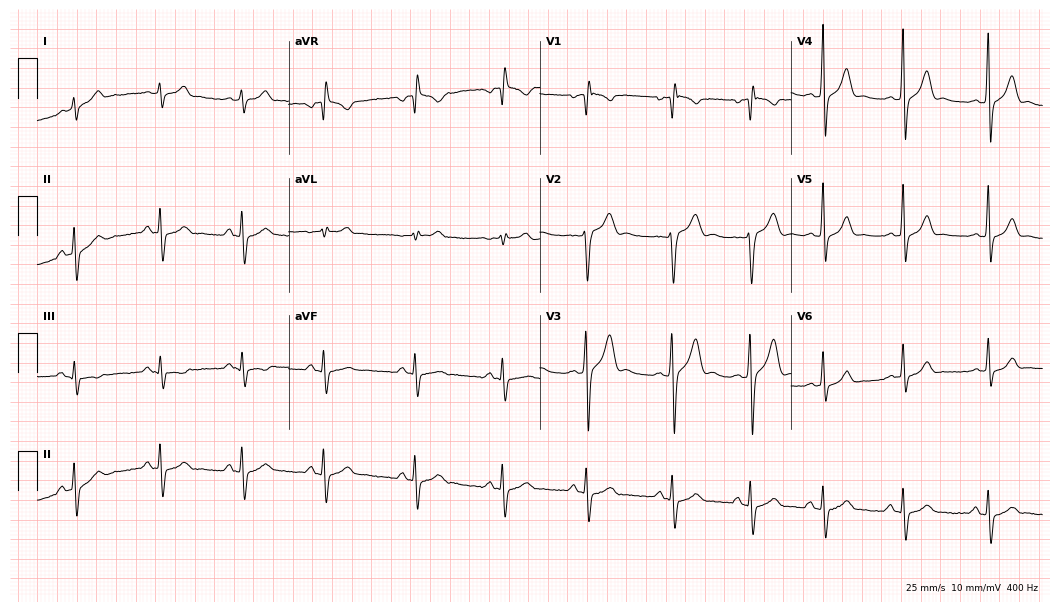
Resting 12-lead electrocardiogram (10.2-second recording at 400 Hz). Patient: a 21-year-old male. None of these six findings is recorded: first-degree AV block, right bundle branch block (RBBB), left bundle branch block (LBBB), sinus bradycardia, atrial fibrillation (AF), sinus tachycardia. Findings outside these six are not listed.